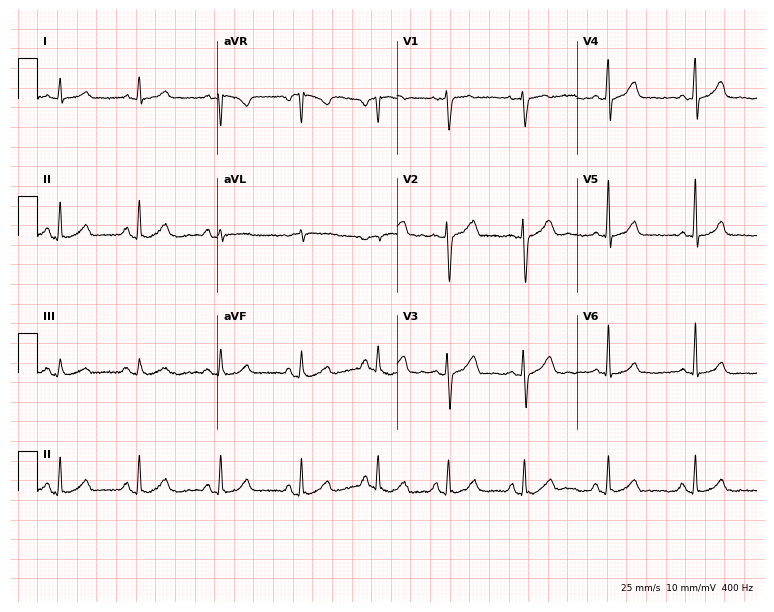
Resting 12-lead electrocardiogram (7.3-second recording at 400 Hz). Patient: a female, 45 years old. Read as a normal ECG.